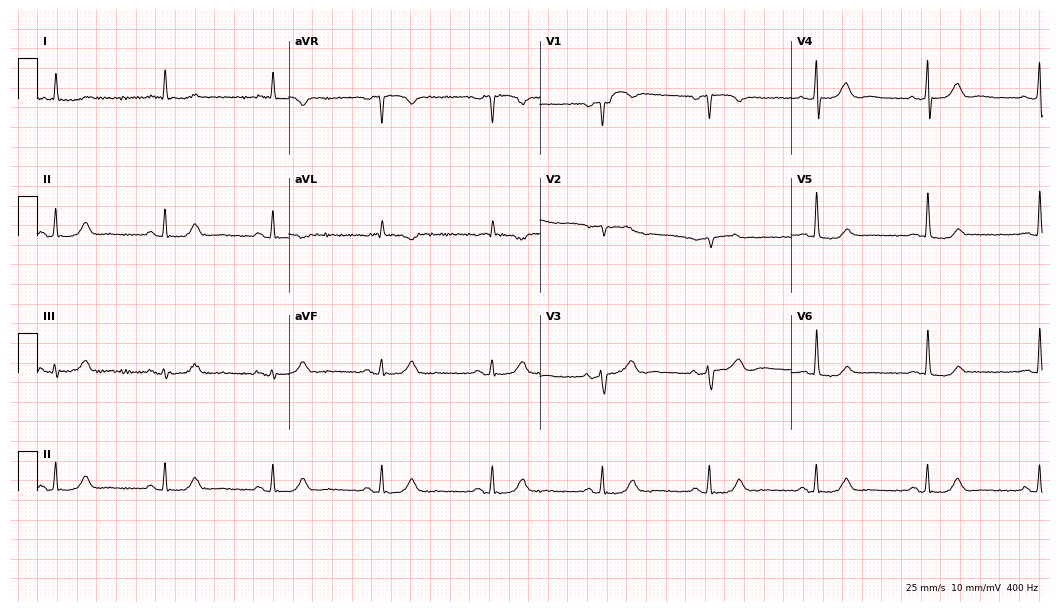
Standard 12-lead ECG recorded from an 84-year-old man (10.2-second recording at 400 Hz). Read as a normal ECG.